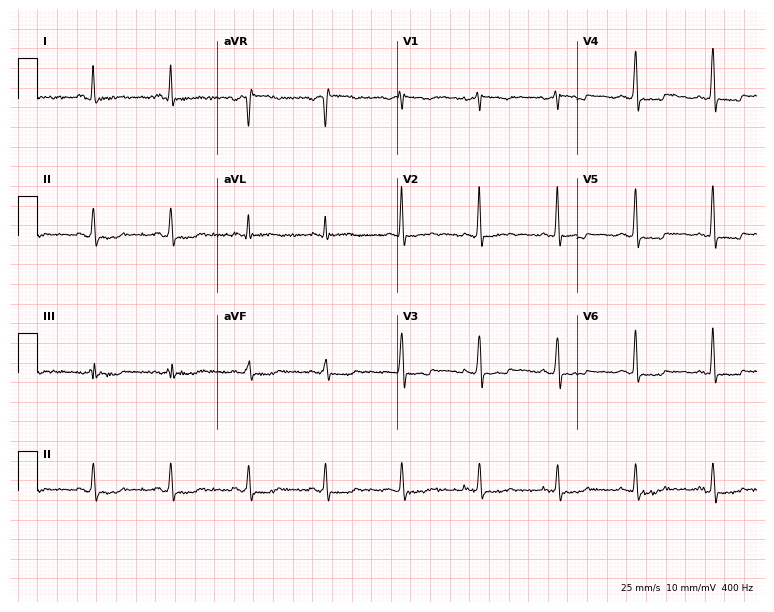
12-lead ECG (7.3-second recording at 400 Hz) from a 55-year-old woman. Labelled as a normal ECG.